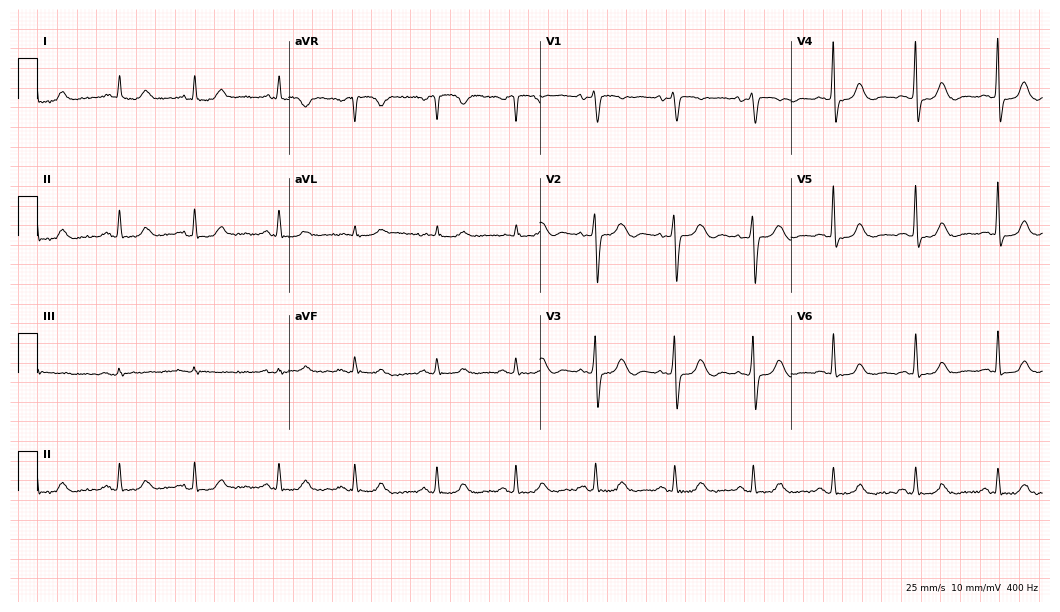
Resting 12-lead electrocardiogram. Patient: an 81-year-old female. None of these six findings is recorded: first-degree AV block, right bundle branch block, left bundle branch block, sinus bradycardia, atrial fibrillation, sinus tachycardia.